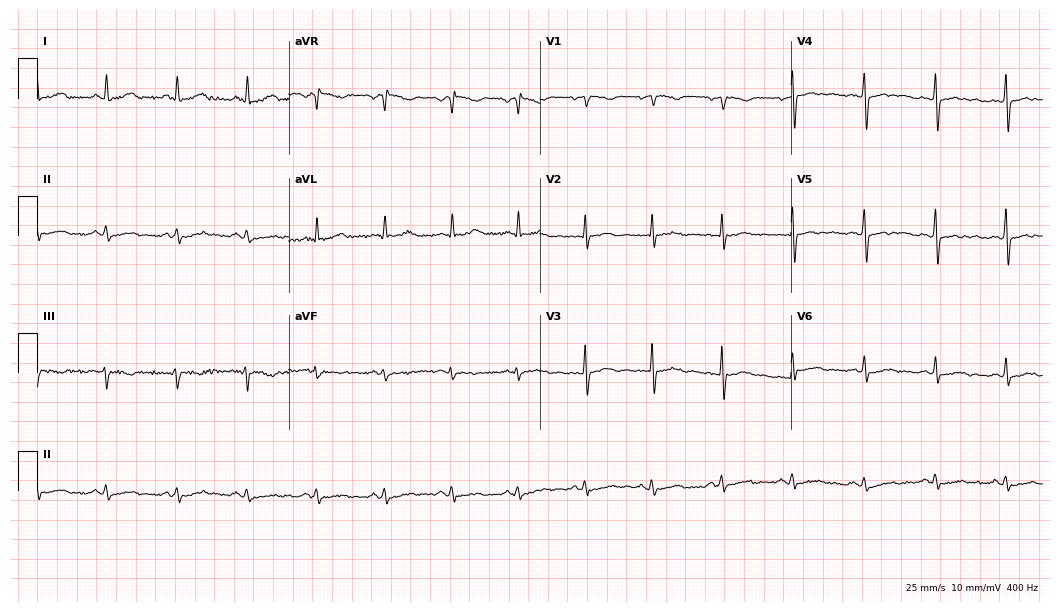
12-lead ECG from a 51-year-old woman. Screened for six findings — first-degree AV block, right bundle branch block, left bundle branch block, sinus bradycardia, atrial fibrillation, sinus tachycardia — none is recorded.